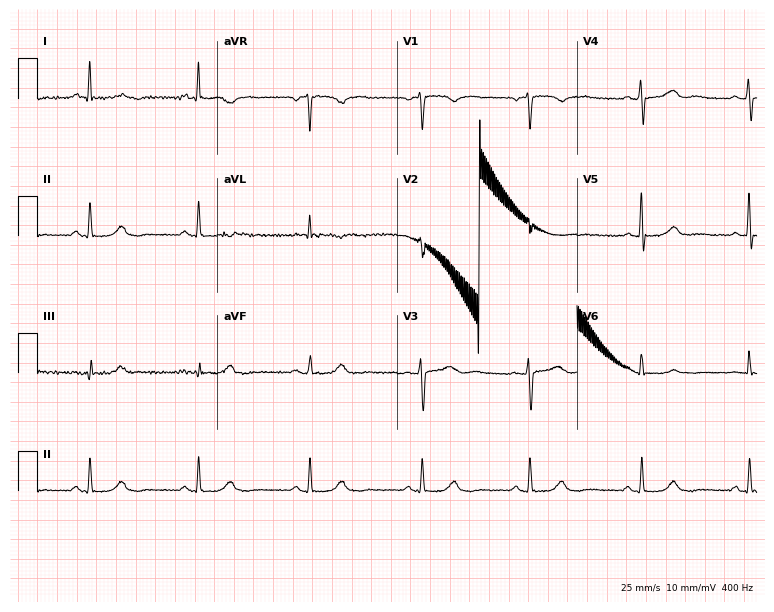
Electrocardiogram, a female, 70 years old. Of the six screened findings (first-degree AV block, right bundle branch block, left bundle branch block, sinus bradycardia, atrial fibrillation, sinus tachycardia), none is recorded.